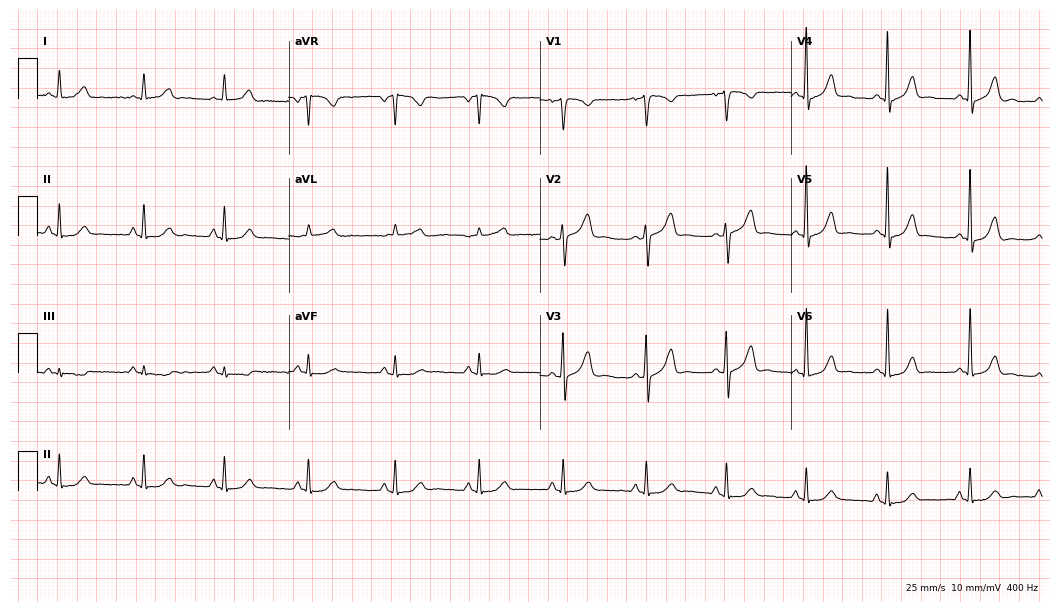
12-lead ECG (10.2-second recording at 400 Hz) from a woman, 52 years old. Screened for six findings — first-degree AV block, right bundle branch block, left bundle branch block, sinus bradycardia, atrial fibrillation, sinus tachycardia — none is recorded. Findings outside these six are not listed.